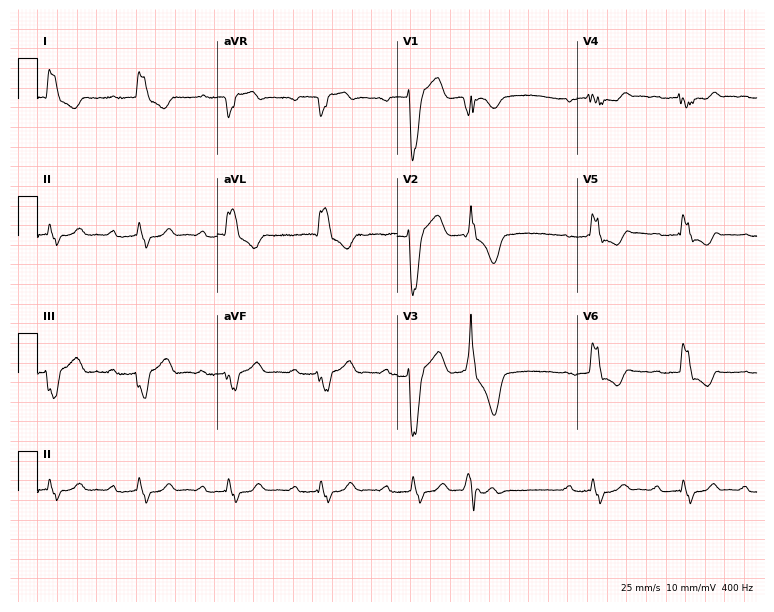
Resting 12-lead electrocardiogram (7.3-second recording at 400 Hz). Patient: a man, 81 years old. The tracing shows first-degree AV block, left bundle branch block (LBBB).